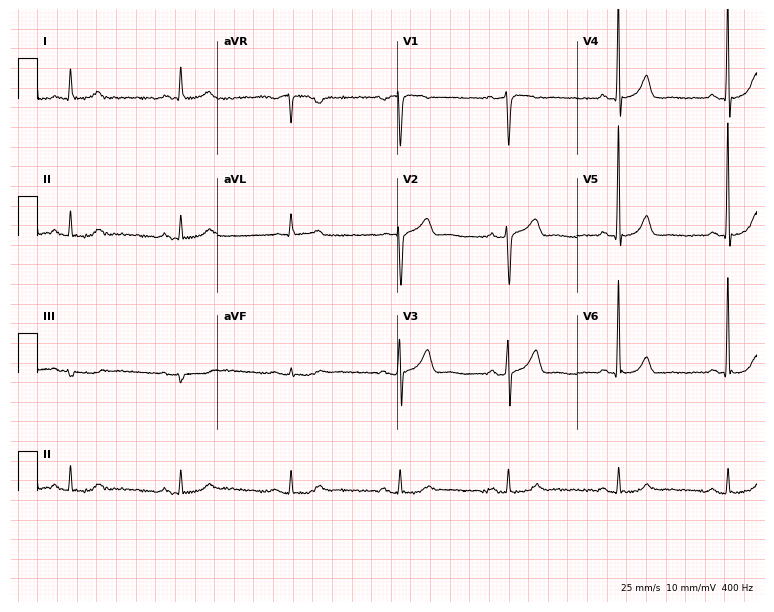
Electrocardiogram, a 61-year-old male patient. Of the six screened findings (first-degree AV block, right bundle branch block, left bundle branch block, sinus bradycardia, atrial fibrillation, sinus tachycardia), none is recorded.